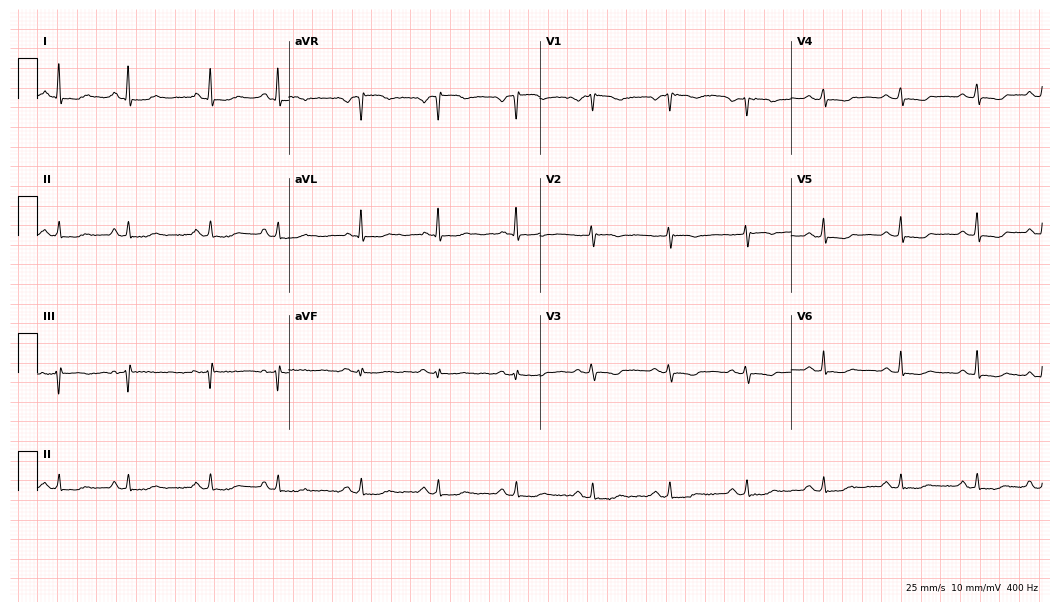
12-lead ECG from a 56-year-old female patient (10.2-second recording at 400 Hz). No first-degree AV block, right bundle branch block (RBBB), left bundle branch block (LBBB), sinus bradycardia, atrial fibrillation (AF) or sinus tachycardia recorded for this tracing. Other findings, if any, are not listed.